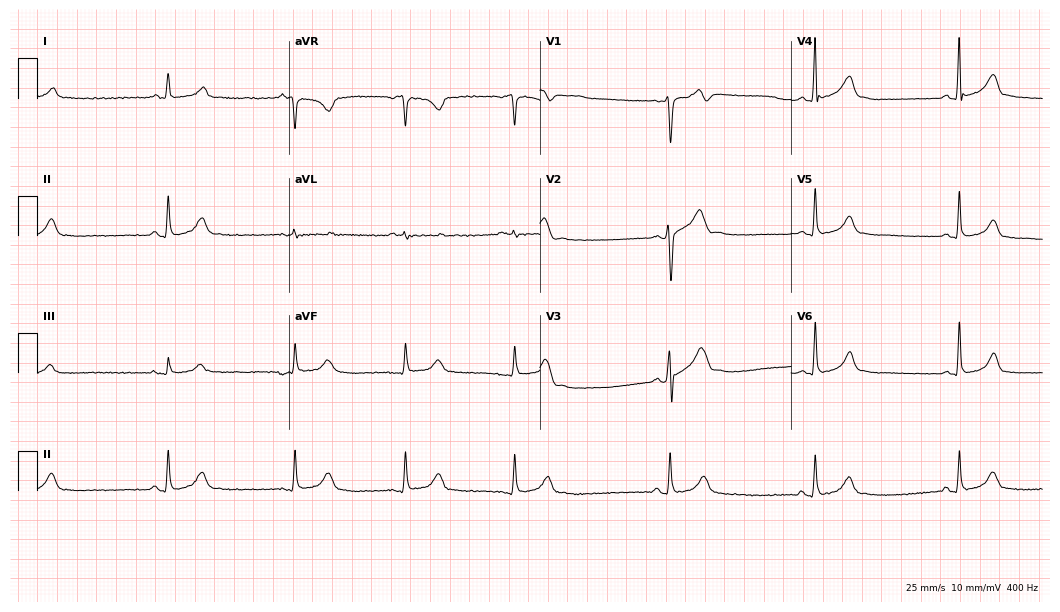
Electrocardiogram, a man, 29 years old. Of the six screened findings (first-degree AV block, right bundle branch block (RBBB), left bundle branch block (LBBB), sinus bradycardia, atrial fibrillation (AF), sinus tachycardia), none is recorded. Only these six findings were labelled.